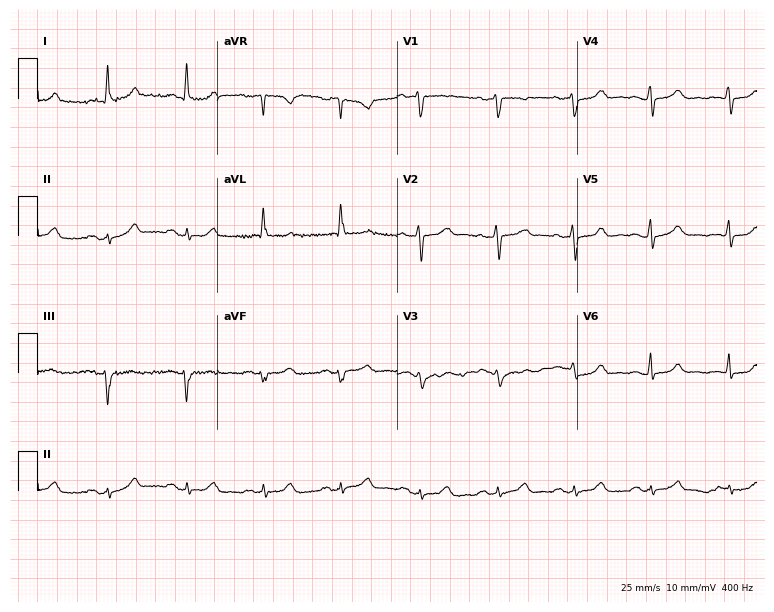
12-lead ECG (7.3-second recording at 400 Hz) from a 54-year-old woman. Labelled as a normal ECG.